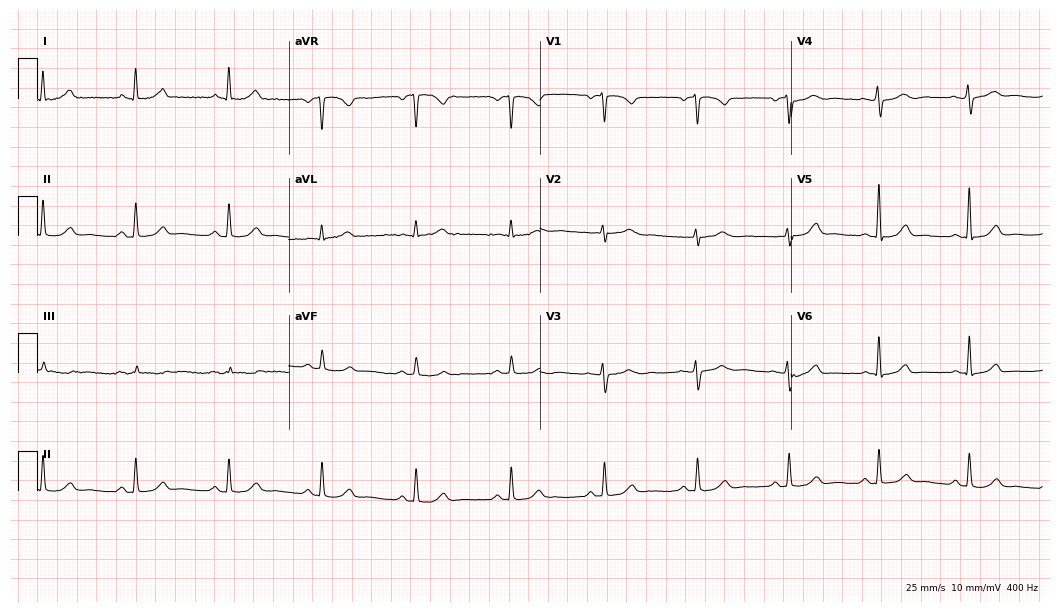
Electrocardiogram, a 55-year-old woman. Of the six screened findings (first-degree AV block, right bundle branch block, left bundle branch block, sinus bradycardia, atrial fibrillation, sinus tachycardia), none is recorded. Other findings, if any, are not listed.